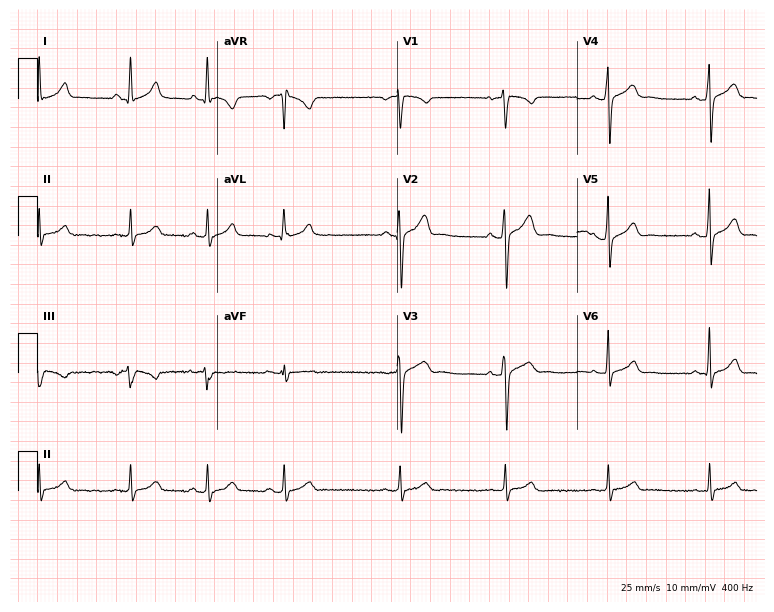
ECG (7.3-second recording at 400 Hz) — a male patient, 27 years old. Screened for six findings — first-degree AV block, right bundle branch block (RBBB), left bundle branch block (LBBB), sinus bradycardia, atrial fibrillation (AF), sinus tachycardia — none is recorded.